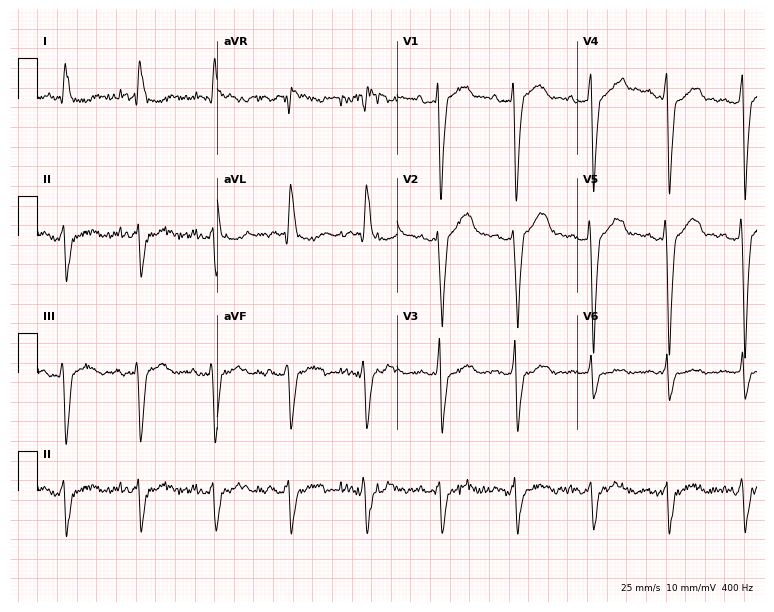
12-lead ECG from a man, 71 years old (7.3-second recording at 400 Hz). No first-degree AV block, right bundle branch block, left bundle branch block, sinus bradycardia, atrial fibrillation or sinus tachycardia recorded for this tracing.